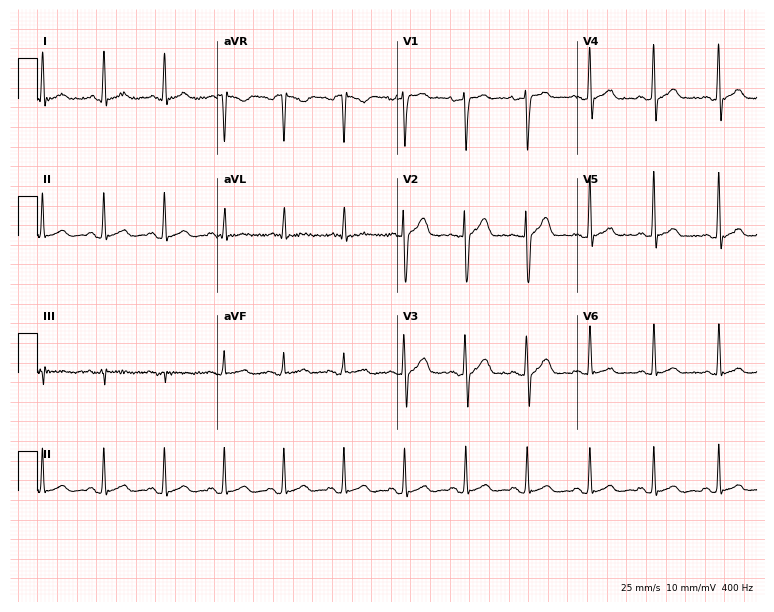
Resting 12-lead electrocardiogram. Patient: a male, 68 years old. Read as a normal ECG.